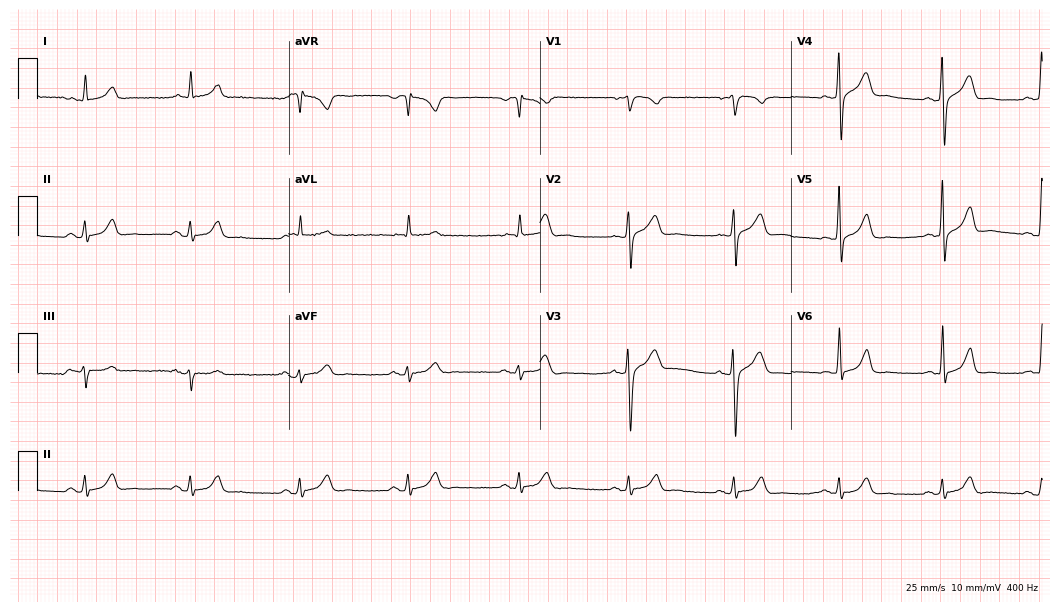
ECG (10.2-second recording at 400 Hz) — a male, 50 years old. Labelled as a normal ECG.